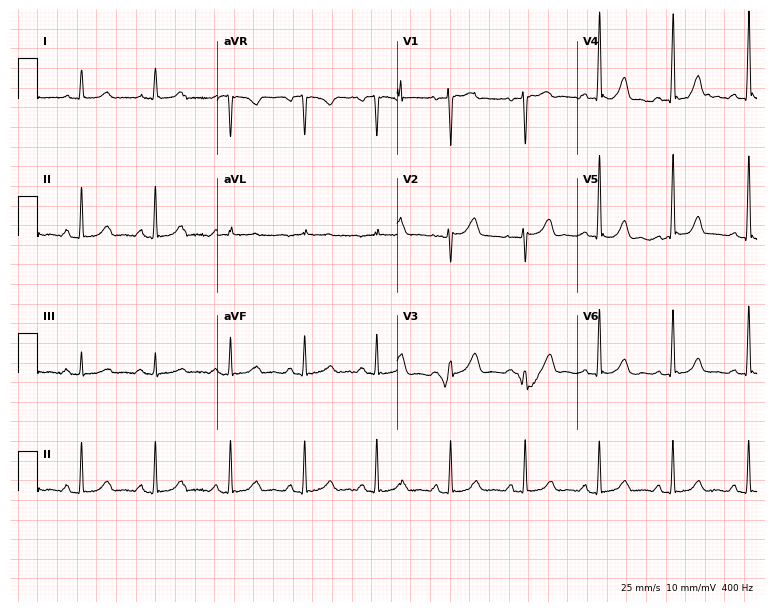
Electrocardiogram (7.3-second recording at 400 Hz), a 40-year-old female patient. Overall reading on record: normal ECG.